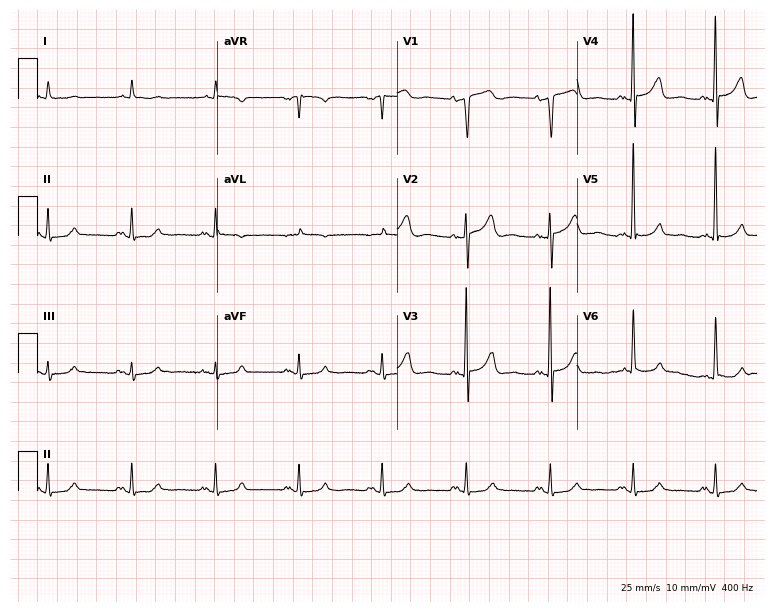
Electrocardiogram, an 83-year-old female. Of the six screened findings (first-degree AV block, right bundle branch block, left bundle branch block, sinus bradycardia, atrial fibrillation, sinus tachycardia), none is recorded.